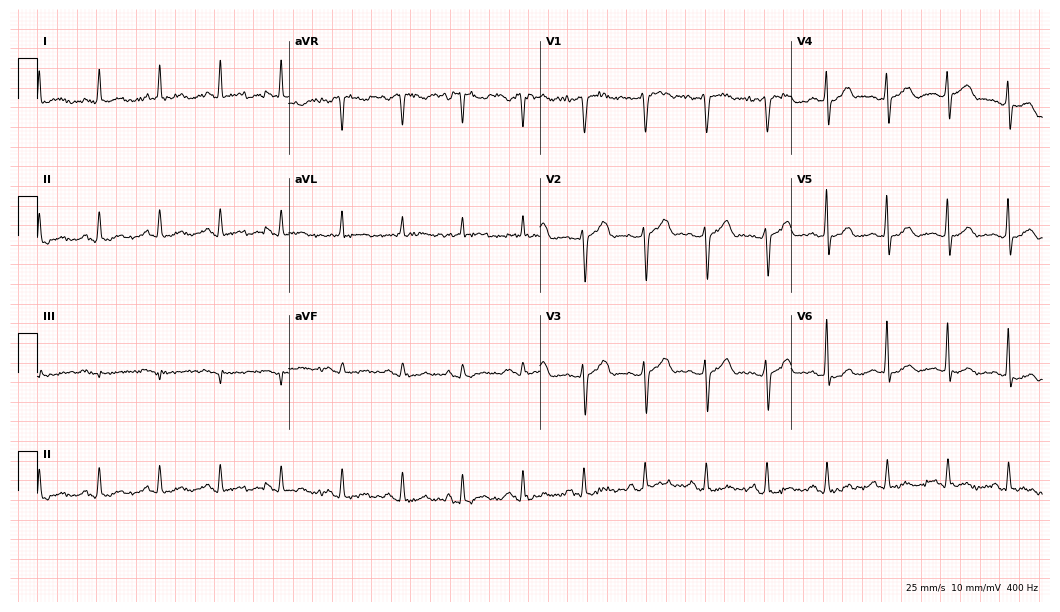
ECG — a male, 66 years old. Screened for six findings — first-degree AV block, right bundle branch block (RBBB), left bundle branch block (LBBB), sinus bradycardia, atrial fibrillation (AF), sinus tachycardia — none is recorded. Findings outside these six are not listed.